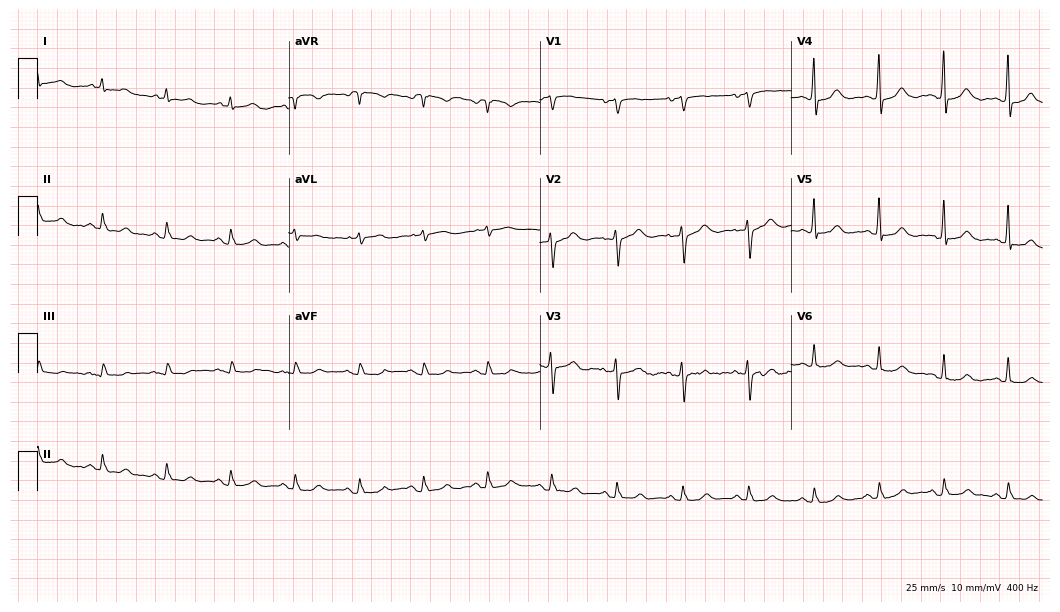
Standard 12-lead ECG recorded from a female patient, 73 years old. Read as a normal ECG.